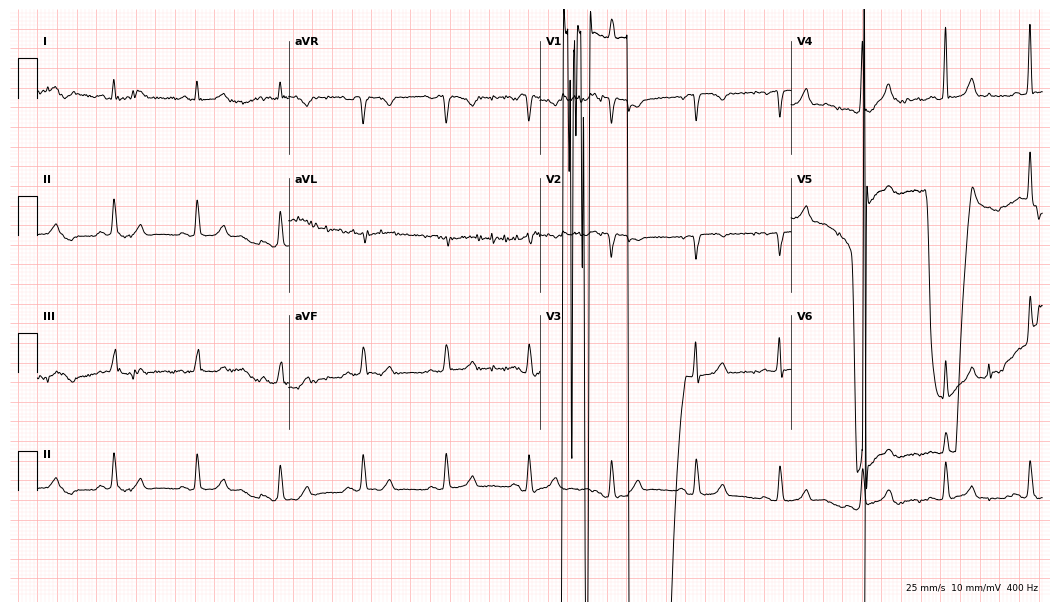
ECG — a 61-year-old woman. Screened for six findings — first-degree AV block, right bundle branch block, left bundle branch block, sinus bradycardia, atrial fibrillation, sinus tachycardia — none is recorded.